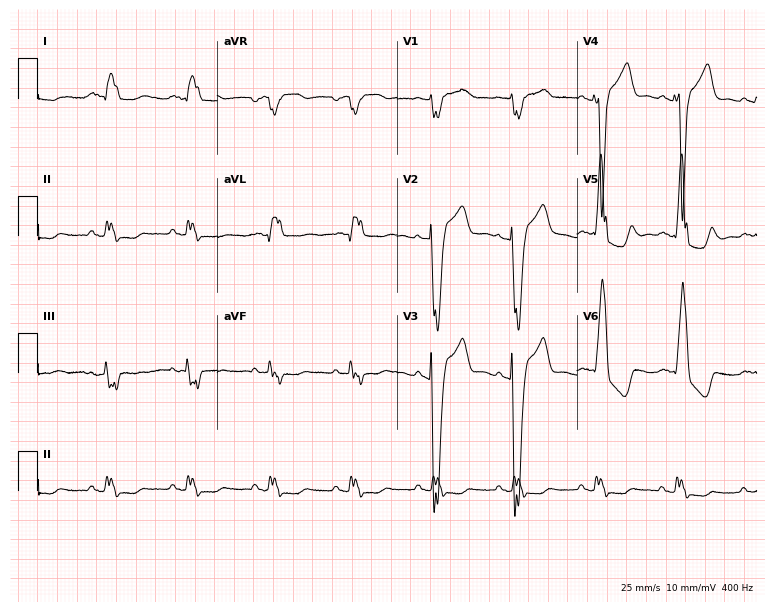
12-lead ECG (7.3-second recording at 400 Hz) from a female patient, 55 years old. Findings include left bundle branch block.